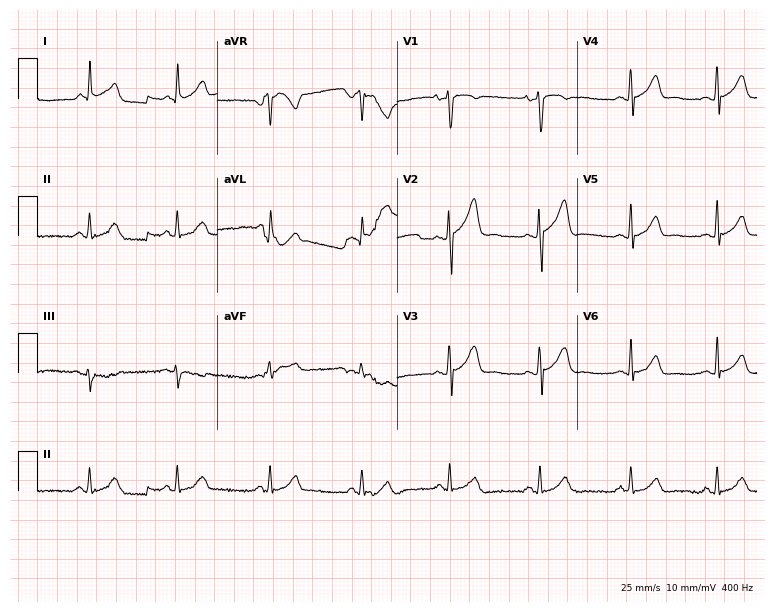
Resting 12-lead electrocardiogram. Patient: a 32-year-old male. Read as a normal ECG.